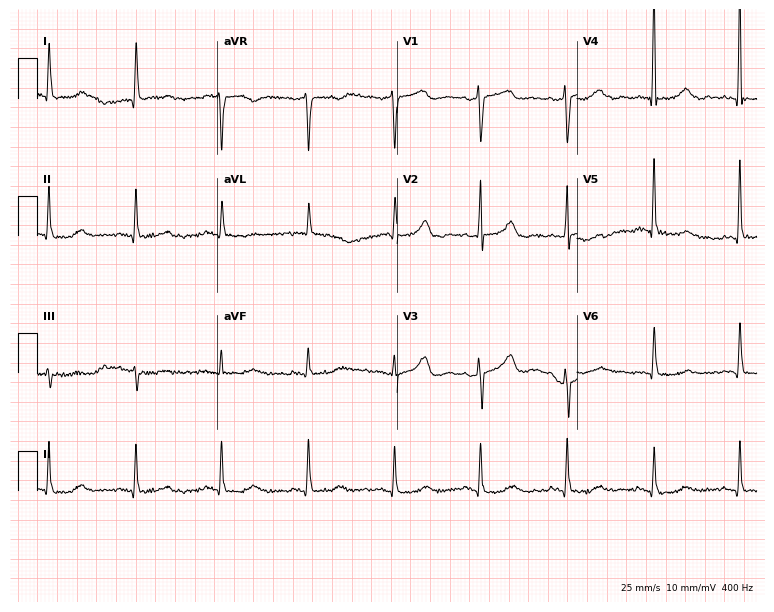
ECG (7.3-second recording at 400 Hz) — a 79-year-old female patient. Screened for six findings — first-degree AV block, right bundle branch block (RBBB), left bundle branch block (LBBB), sinus bradycardia, atrial fibrillation (AF), sinus tachycardia — none is recorded. Other findings, if any, are not listed.